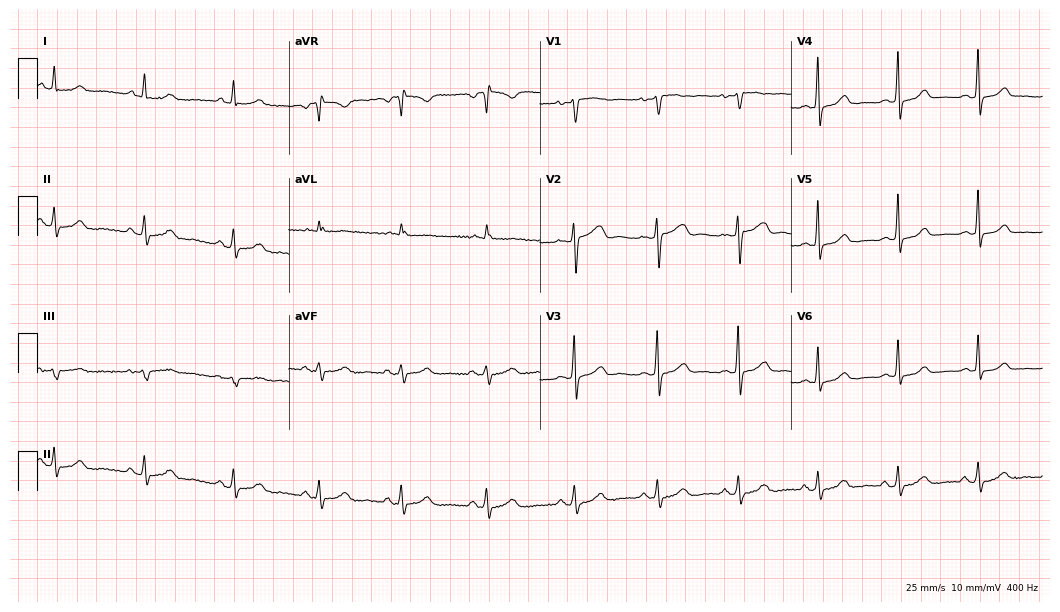
ECG — a 50-year-old female patient. Labelled as a normal ECG.